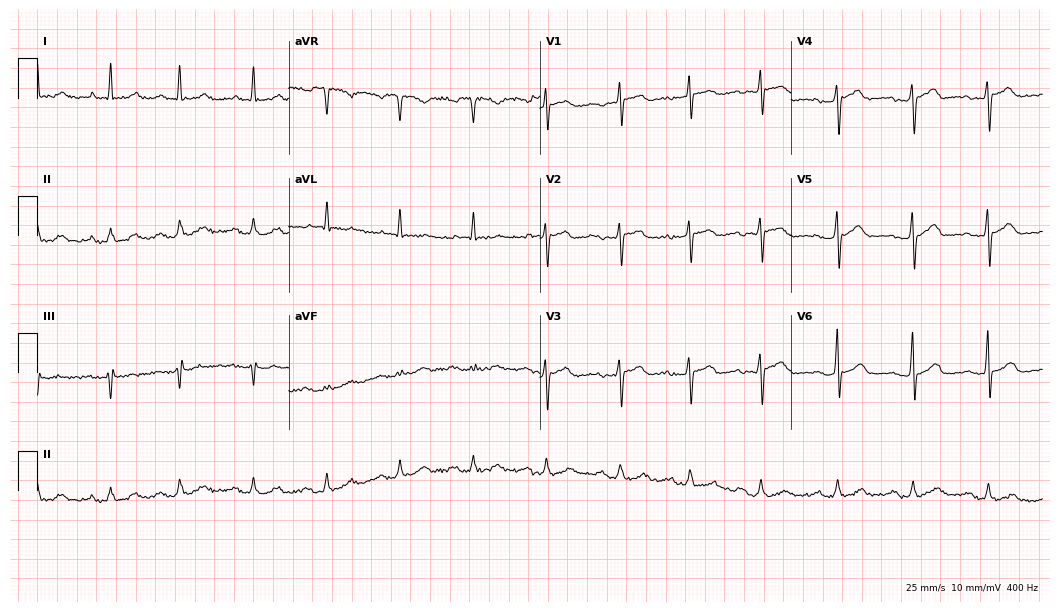
12-lead ECG from a female patient, 82 years old. Shows first-degree AV block.